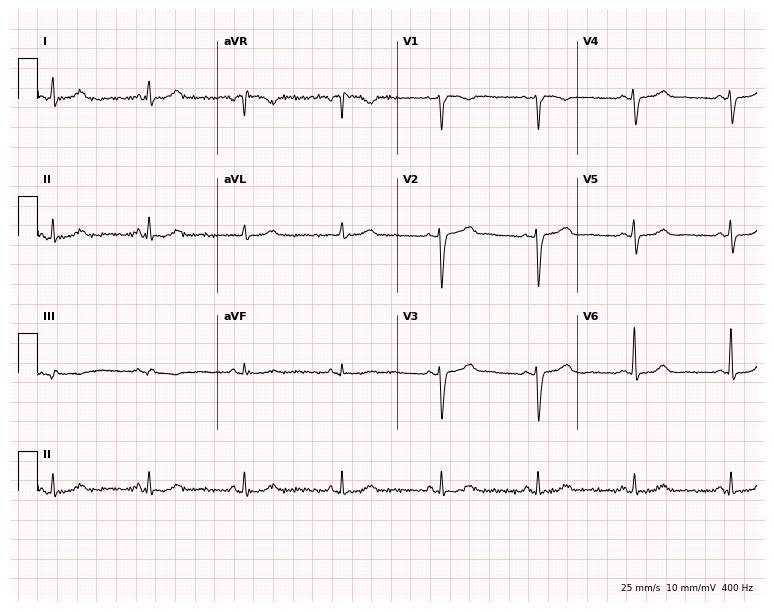
Electrocardiogram, a female, 53 years old. Overall reading on record: normal ECG.